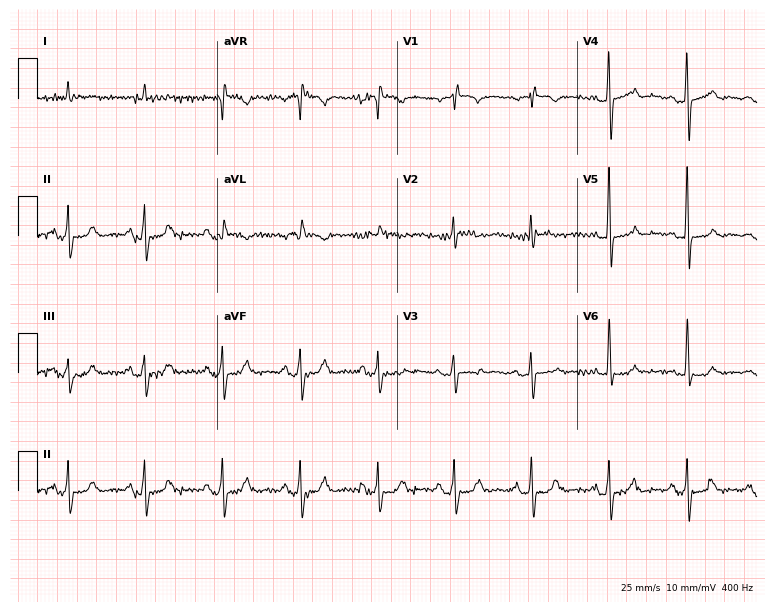
Resting 12-lead electrocardiogram. Patient: a man, 78 years old. Read as a normal ECG.